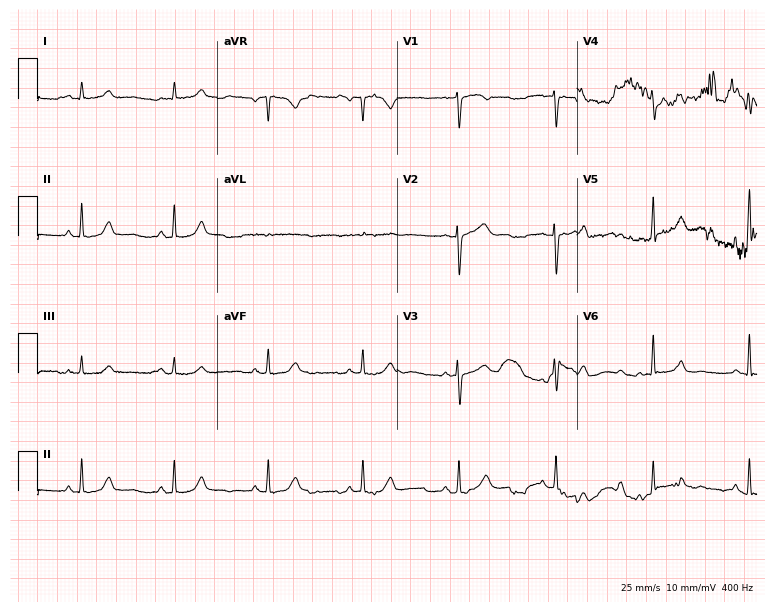
12-lead ECG from a woman, 43 years old. Labelled as a normal ECG.